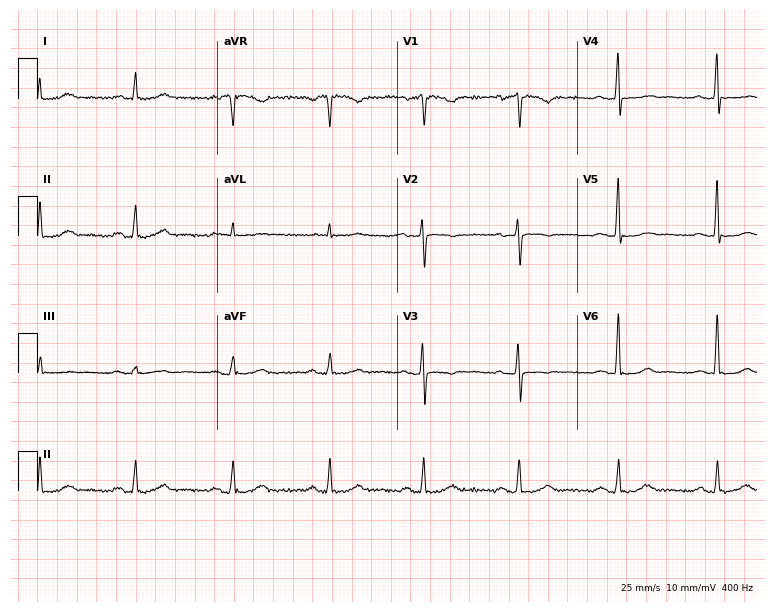
Electrocardiogram (7.3-second recording at 400 Hz), a female patient, 65 years old. Of the six screened findings (first-degree AV block, right bundle branch block, left bundle branch block, sinus bradycardia, atrial fibrillation, sinus tachycardia), none is recorded. Findings outside these six are not listed.